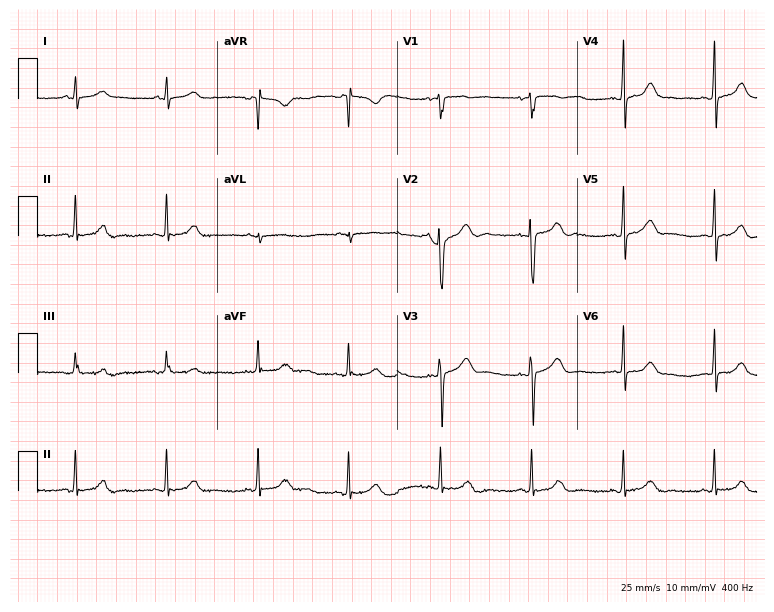
12-lead ECG from a woman, 18 years old (7.3-second recording at 400 Hz). Recorded interpretation: within normal limits.